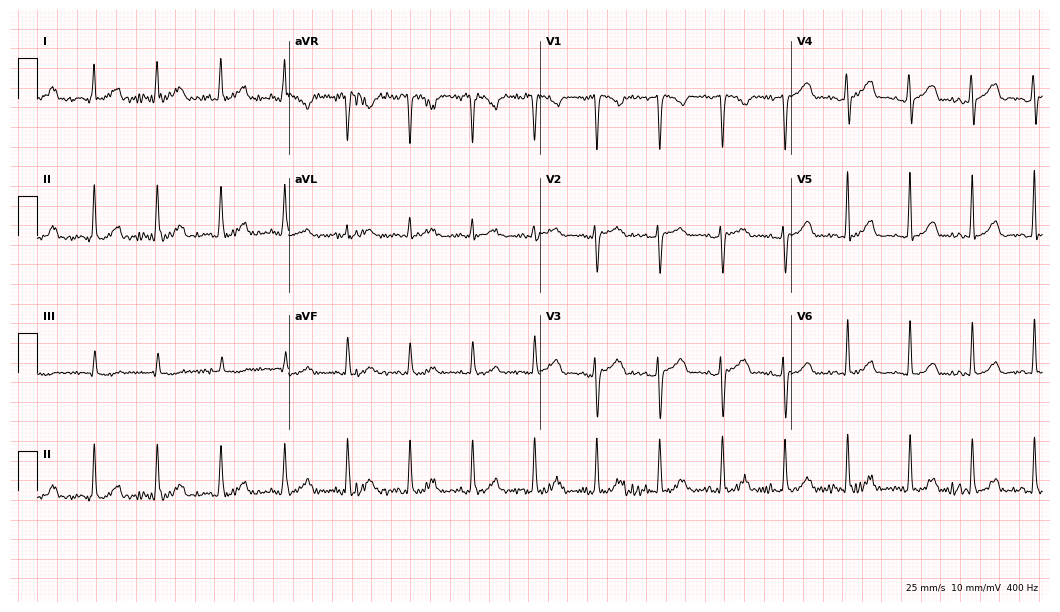
ECG (10.2-second recording at 400 Hz) — a 44-year-old female. Screened for six findings — first-degree AV block, right bundle branch block (RBBB), left bundle branch block (LBBB), sinus bradycardia, atrial fibrillation (AF), sinus tachycardia — none is recorded. Only these six findings were labelled.